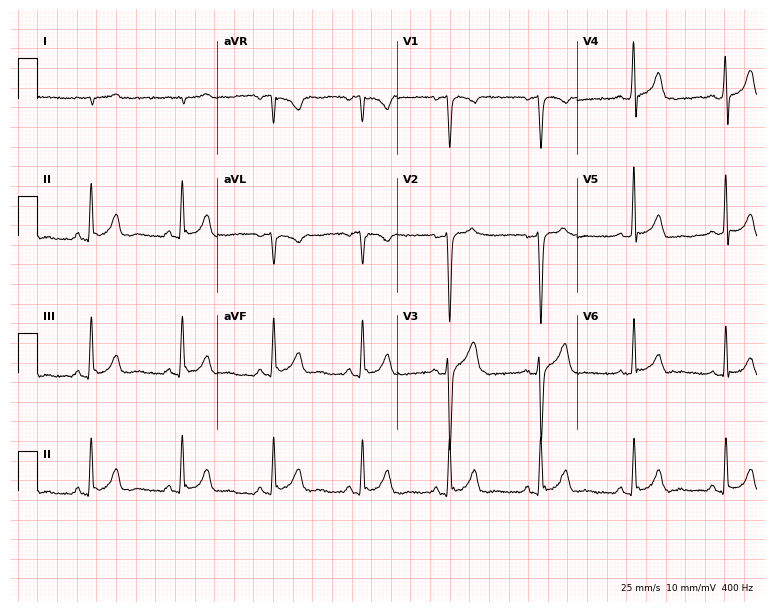
Electrocardiogram (7.3-second recording at 400 Hz), a 37-year-old male. Of the six screened findings (first-degree AV block, right bundle branch block, left bundle branch block, sinus bradycardia, atrial fibrillation, sinus tachycardia), none is recorded.